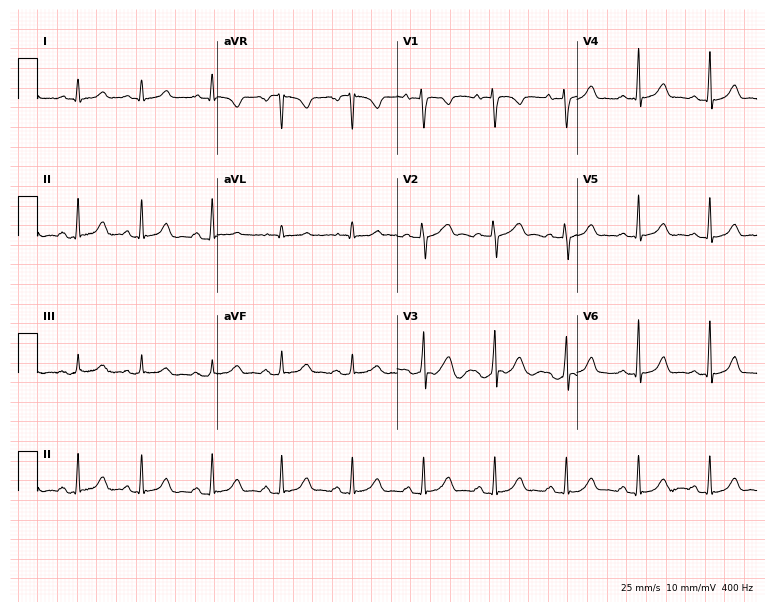
12-lead ECG (7.3-second recording at 400 Hz) from a female, 25 years old. Labelled as a normal ECG.